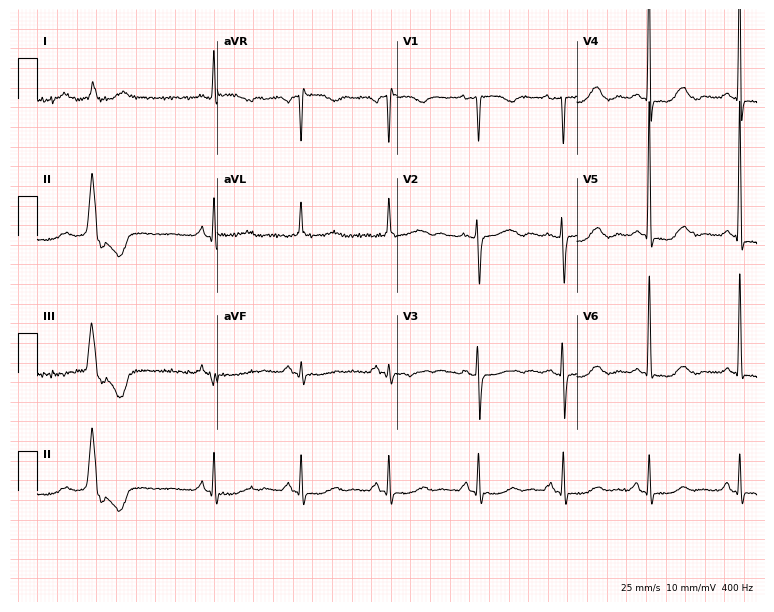
Electrocardiogram (7.3-second recording at 400 Hz), an 81-year-old woman. Of the six screened findings (first-degree AV block, right bundle branch block (RBBB), left bundle branch block (LBBB), sinus bradycardia, atrial fibrillation (AF), sinus tachycardia), none is recorded. Only these six findings were labelled.